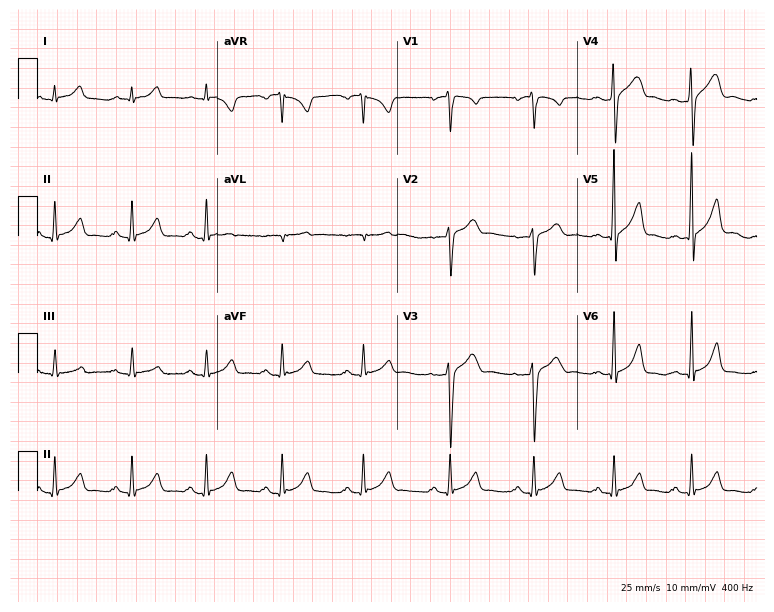
Resting 12-lead electrocardiogram. Patient: a 26-year-old man. Read as a normal ECG.